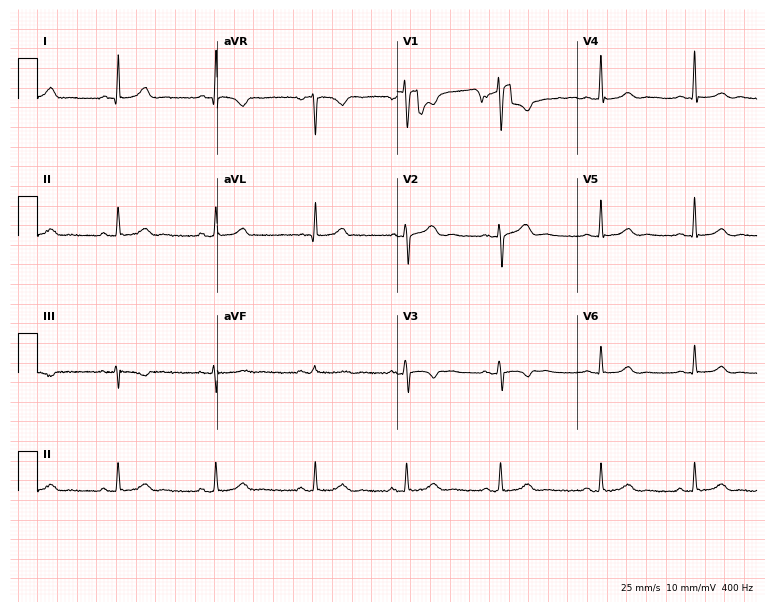
ECG (7.3-second recording at 400 Hz) — a female, 40 years old. Screened for six findings — first-degree AV block, right bundle branch block, left bundle branch block, sinus bradycardia, atrial fibrillation, sinus tachycardia — none is recorded. Only these six findings were labelled.